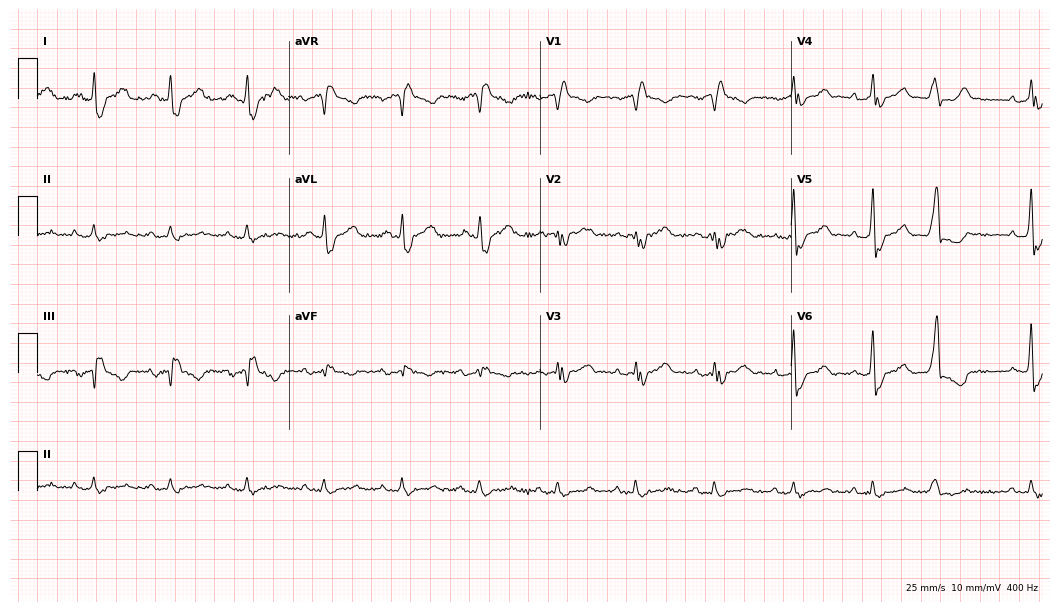
Standard 12-lead ECG recorded from a male patient, 58 years old. The tracing shows right bundle branch block.